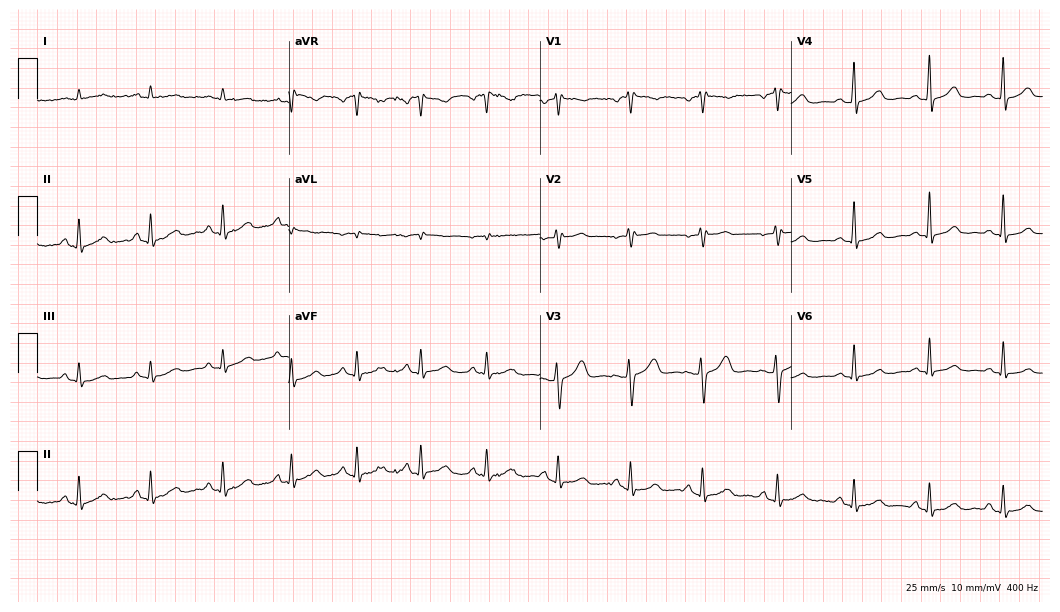
12-lead ECG from a 56-year-old female patient (10.2-second recording at 400 Hz). No first-degree AV block, right bundle branch block, left bundle branch block, sinus bradycardia, atrial fibrillation or sinus tachycardia recorded for this tracing.